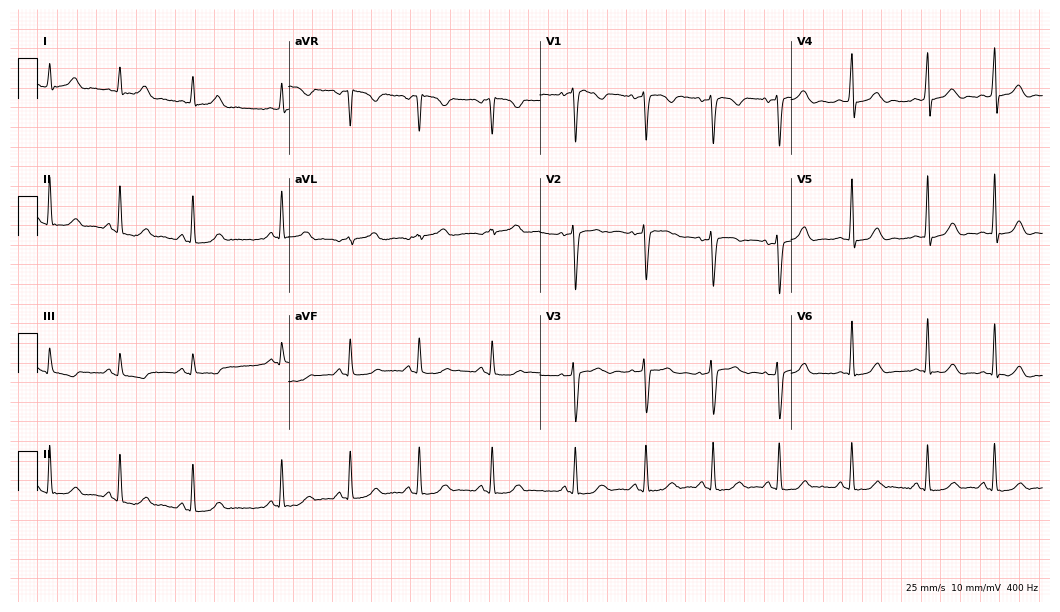
Electrocardiogram, a 30-year-old female patient. Of the six screened findings (first-degree AV block, right bundle branch block (RBBB), left bundle branch block (LBBB), sinus bradycardia, atrial fibrillation (AF), sinus tachycardia), none is recorded. Other findings, if any, are not listed.